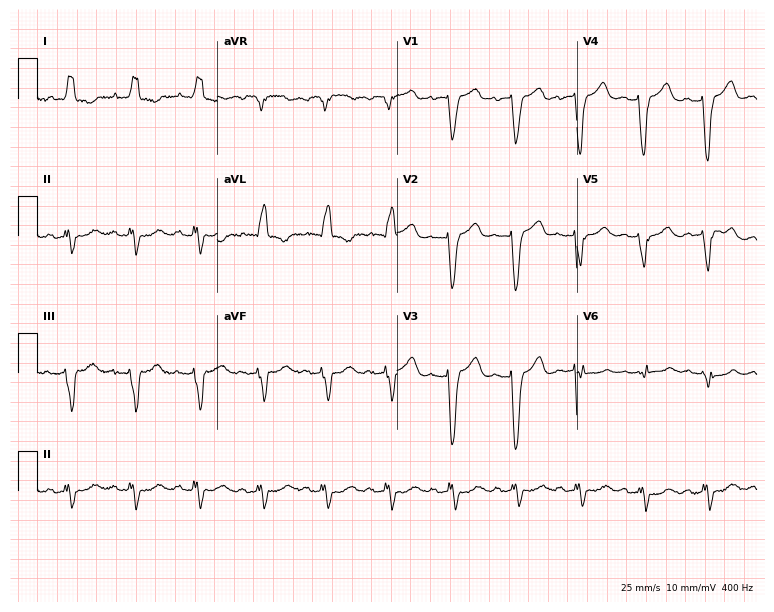
Resting 12-lead electrocardiogram (7.3-second recording at 400 Hz). Patient: a 77-year-old female. The tracing shows left bundle branch block (LBBB).